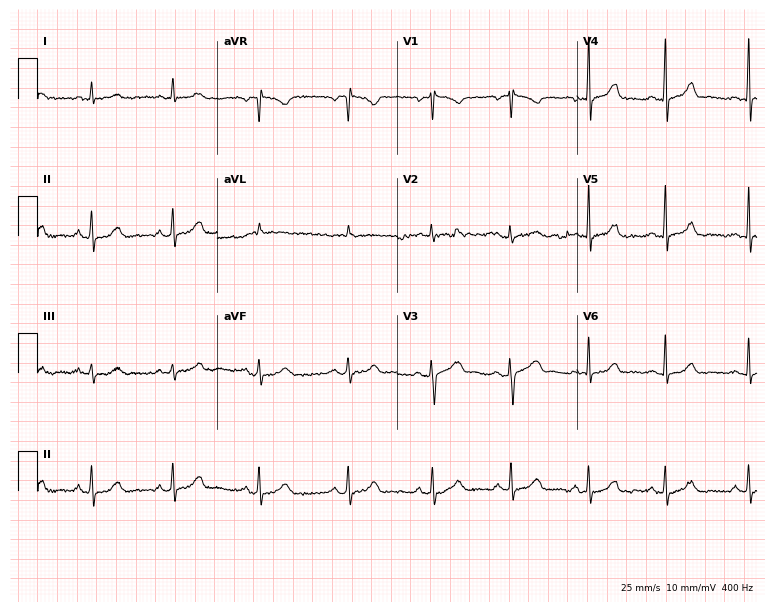
Electrocardiogram (7.3-second recording at 400 Hz), a woman, 28 years old. Overall reading on record: normal ECG.